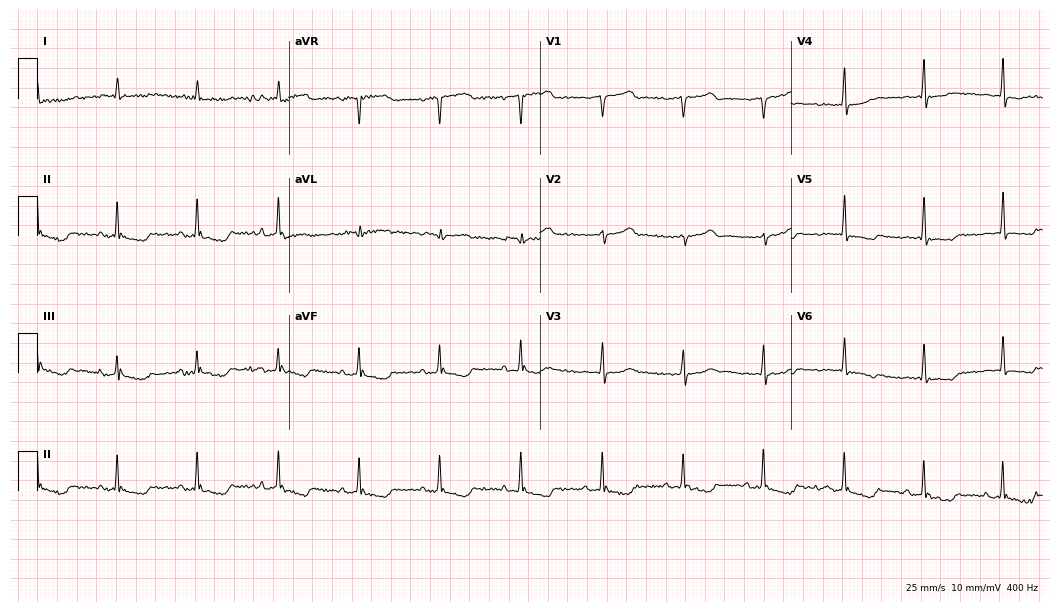
Resting 12-lead electrocardiogram (10.2-second recording at 400 Hz). Patient: a male, 72 years old. None of these six findings is recorded: first-degree AV block, right bundle branch block, left bundle branch block, sinus bradycardia, atrial fibrillation, sinus tachycardia. Other findings, if any, are not listed.